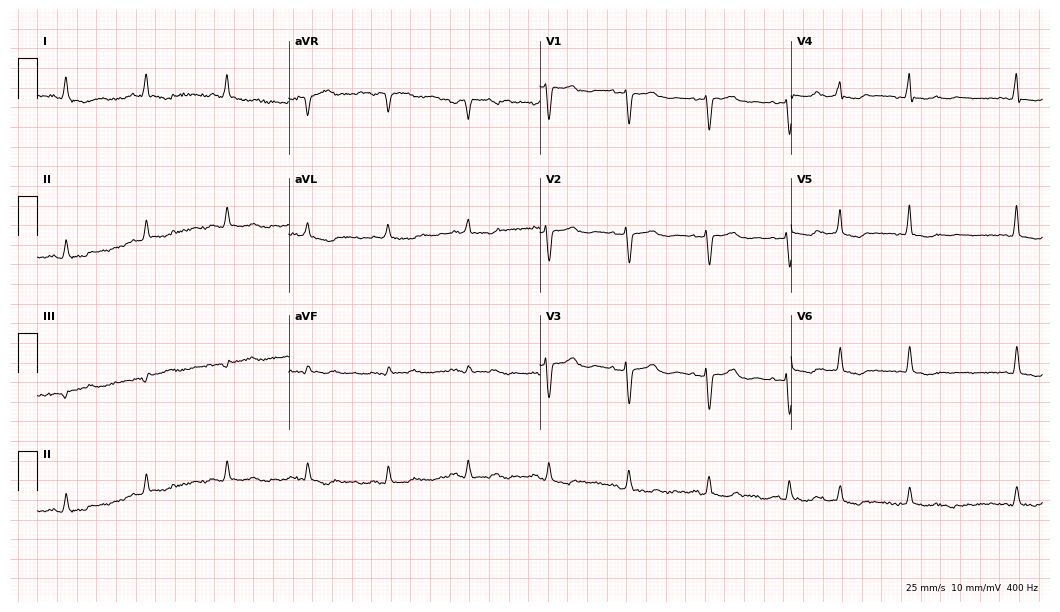
12-lead ECG from a 75-year-old female. No first-degree AV block, right bundle branch block, left bundle branch block, sinus bradycardia, atrial fibrillation or sinus tachycardia recorded for this tracing.